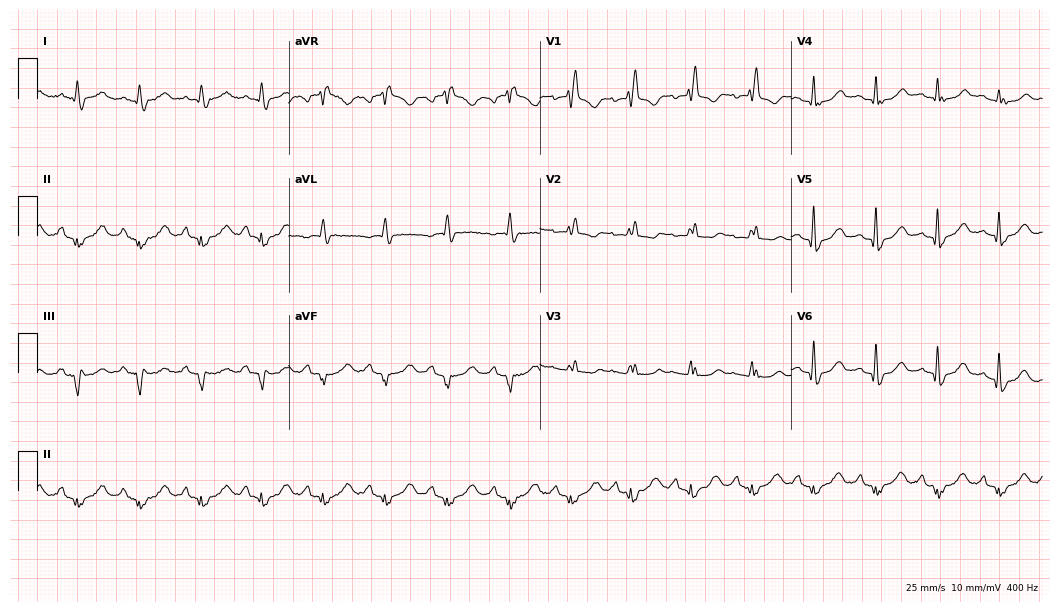
12-lead ECG from a 68-year-old female patient. Shows right bundle branch block (RBBB).